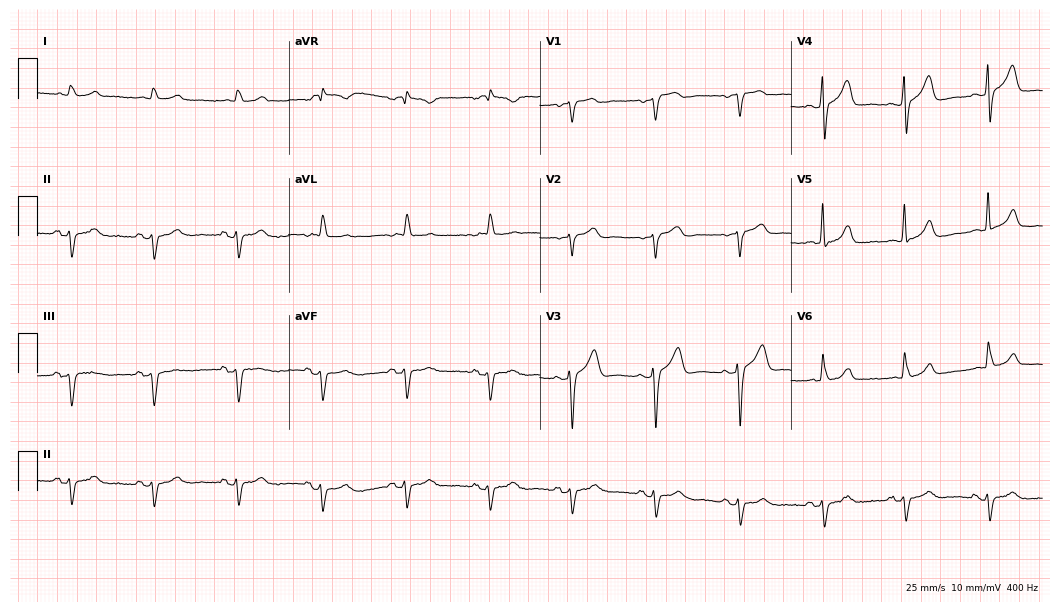
12-lead ECG (10.2-second recording at 400 Hz) from a male patient, 81 years old. Screened for six findings — first-degree AV block, right bundle branch block, left bundle branch block, sinus bradycardia, atrial fibrillation, sinus tachycardia — none is recorded.